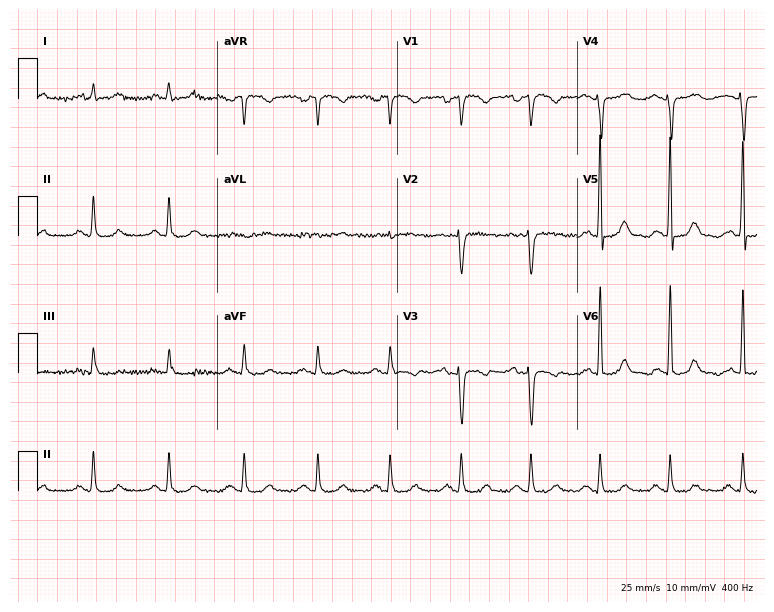
ECG (7.3-second recording at 400 Hz) — a woman, 80 years old. Labelled as a normal ECG.